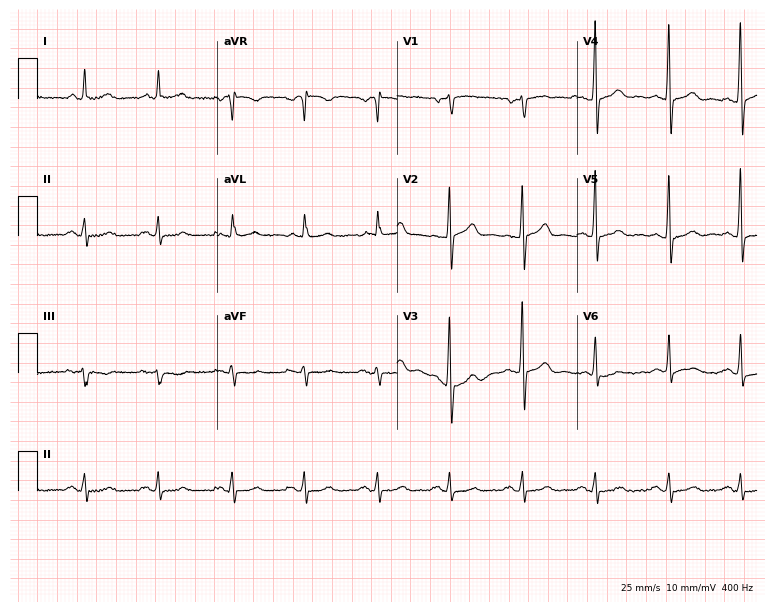
ECG (7.3-second recording at 400 Hz) — a male patient, 56 years old. Screened for six findings — first-degree AV block, right bundle branch block, left bundle branch block, sinus bradycardia, atrial fibrillation, sinus tachycardia — none is recorded.